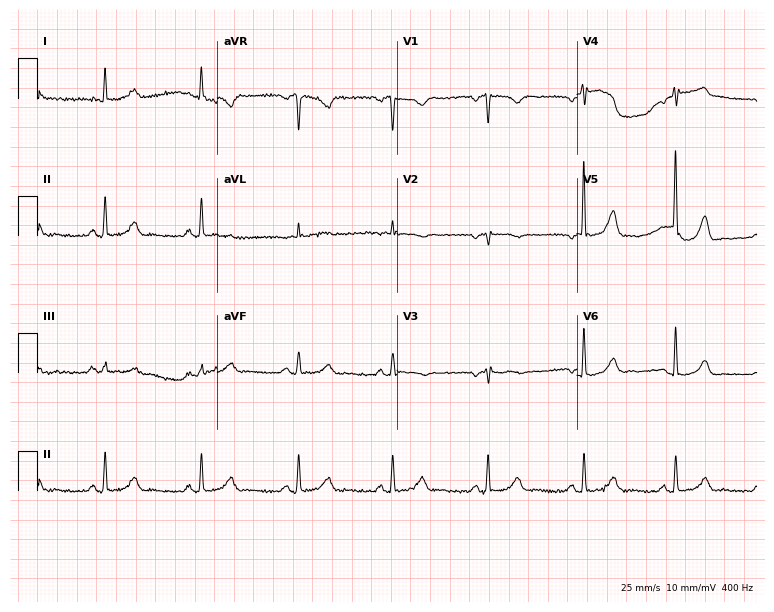
12-lead ECG from a 28-year-old woman (7.3-second recording at 400 Hz). No first-degree AV block, right bundle branch block (RBBB), left bundle branch block (LBBB), sinus bradycardia, atrial fibrillation (AF) or sinus tachycardia recorded for this tracing. Other findings, if any, are not listed.